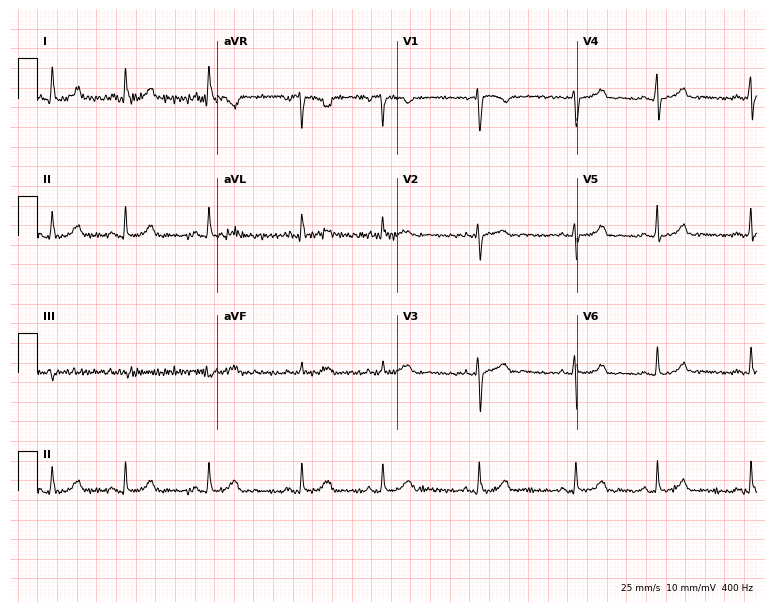
Standard 12-lead ECG recorded from a 29-year-old female patient (7.3-second recording at 400 Hz). None of these six findings is recorded: first-degree AV block, right bundle branch block (RBBB), left bundle branch block (LBBB), sinus bradycardia, atrial fibrillation (AF), sinus tachycardia. Findings outside these six are not listed.